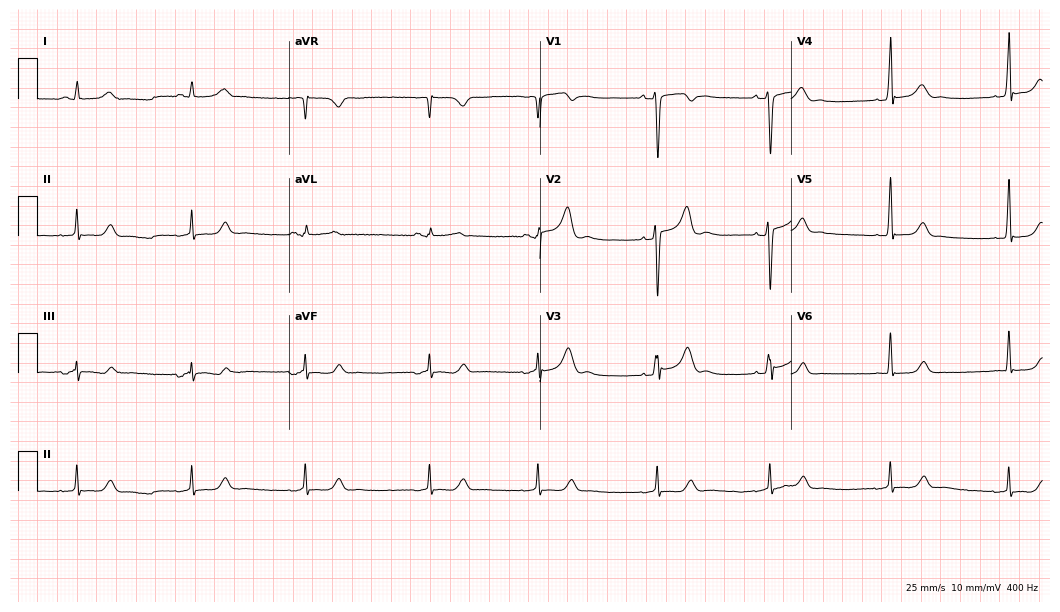
Standard 12-lead ECG recorded from a 27-year-old male patient (10.2-second recording at 400 Hz). None of these six findings is recorded: first-degree AV block, right bundle branch block, left bundle branch block, sinus bradycardia, atrial fibrillation, sinus tachycardia.